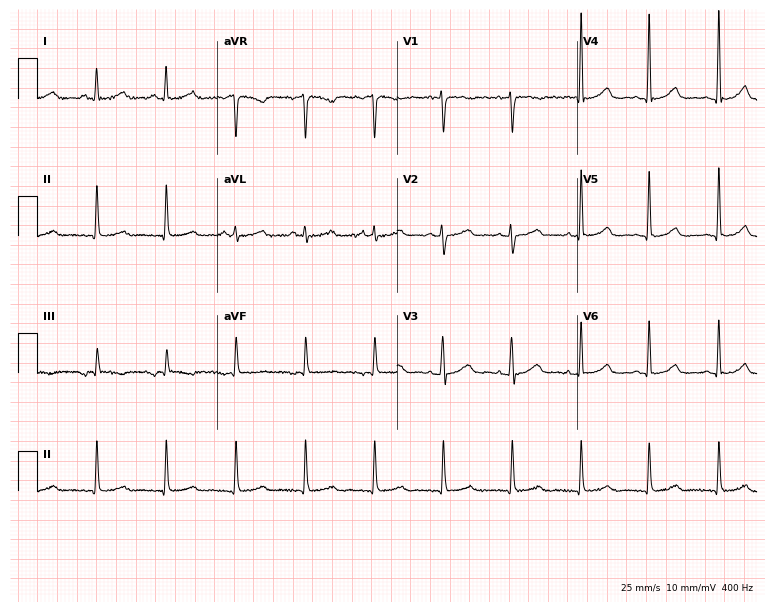
12-lead ECG from a 65-year-old female patient (7.3-second recording at 400 Hz). Recorded interpretation: within normal limits.